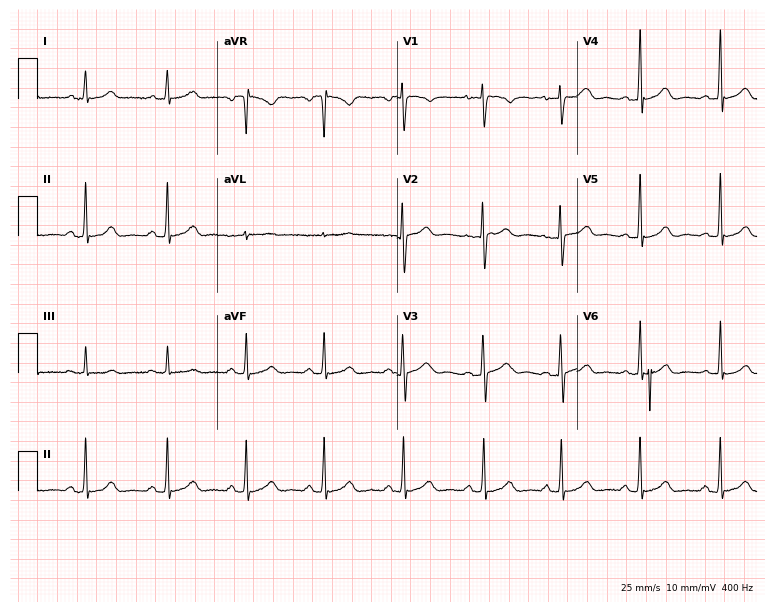
Standard 12-lead ECG recorded from a female patient, 45 years old. Read as a normal ECG.